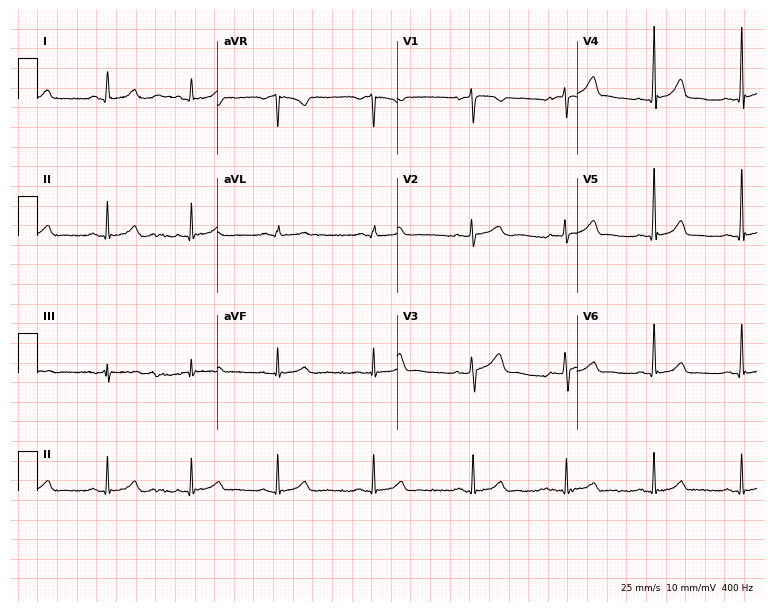
Standard 12-lead ECG recorded from a female, 27 years old. Read as a normal ECG.